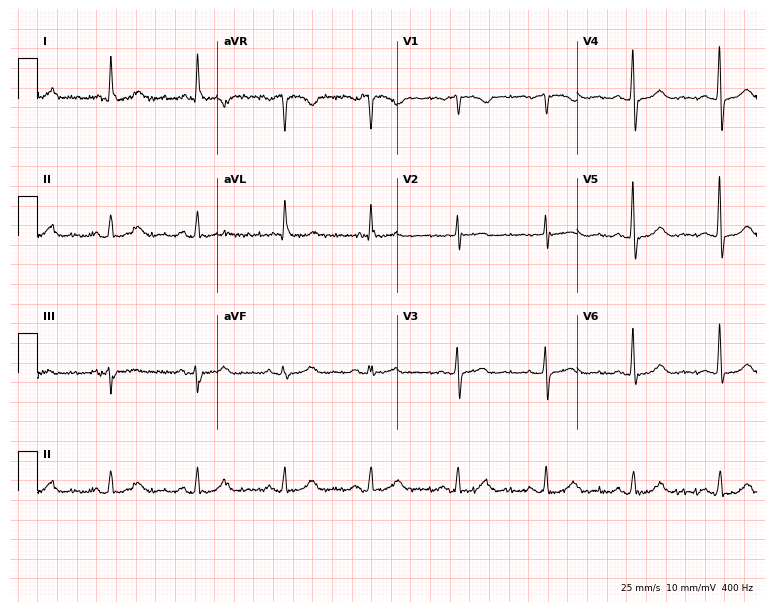
Standard 12-lead ECG recorded from a female patient, 75 years old (7.3-second recording at 400 Hz). Read as a normal ECG.